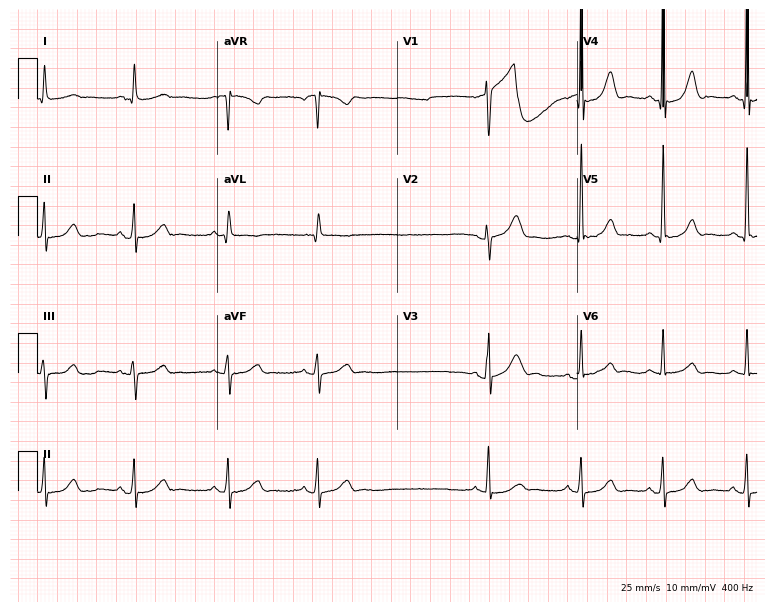
ECG (7.3-second recording at 400 Hz) — a 65-year-old female. Labelled as a normal ECG.